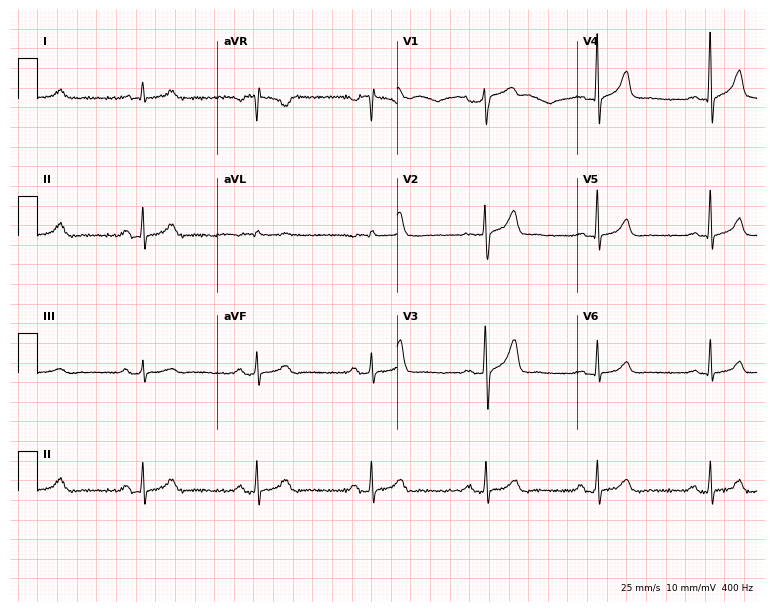
Electrocardiogram (7.3-second recording at 400 Hz), a male, 60 years old. Of the six screened findings (first-degree AV block, right bundle branch block, left bundle branch block, sinus bradycardia, atrial fibrillation, sinus tachycardia), none is recorded.